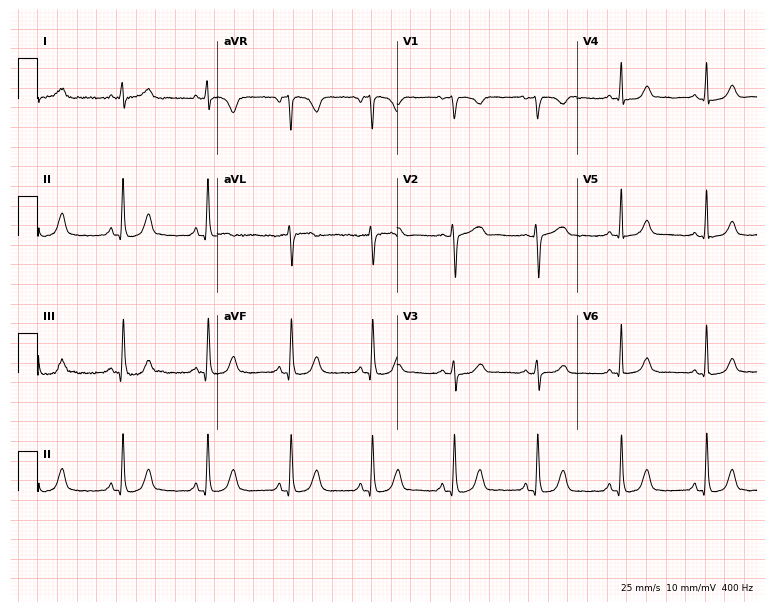
Standard 12-lead ECG recorded from a female, 41 years old. None of these six findings is recorded: first-degree AV block, right bundle branch block (RBBB), left bundle branch block (LBBB), sinus bradycardia, atrial fibrillation (AF), sinus tachycardia.